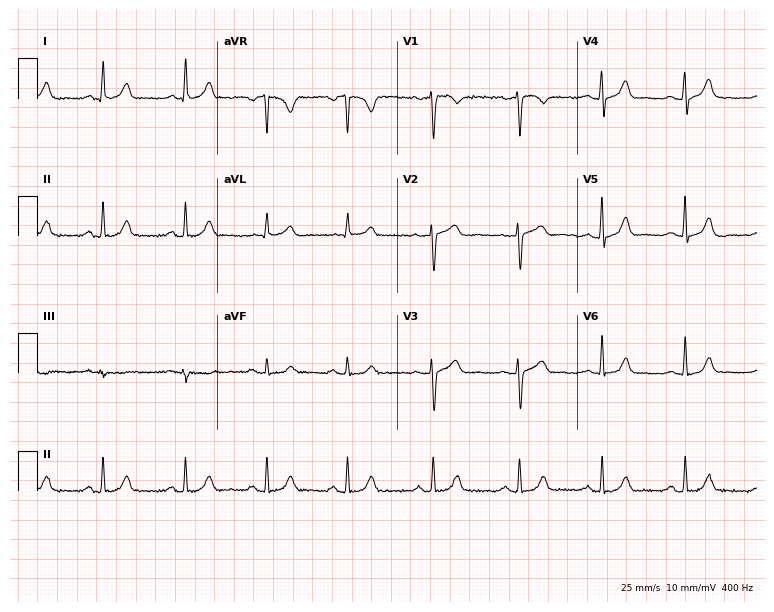
Standard 12-lead ECG recorded from a woman, 40 years old. Read as a normal ECG.